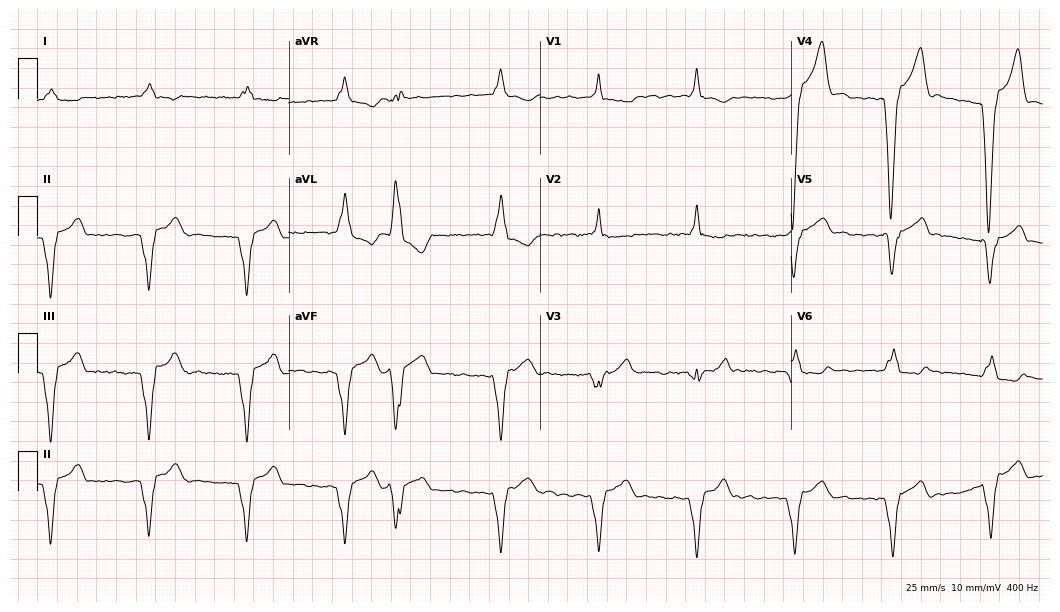
Resting 12-lead electrocardiogram. Patient: a 61-year-old male. None of these six findings is recorded: first-degree AV block, right bundle branch block, left bundle branch block, sinus bradycardia, atrial fibrillation, sinus tachycardia.